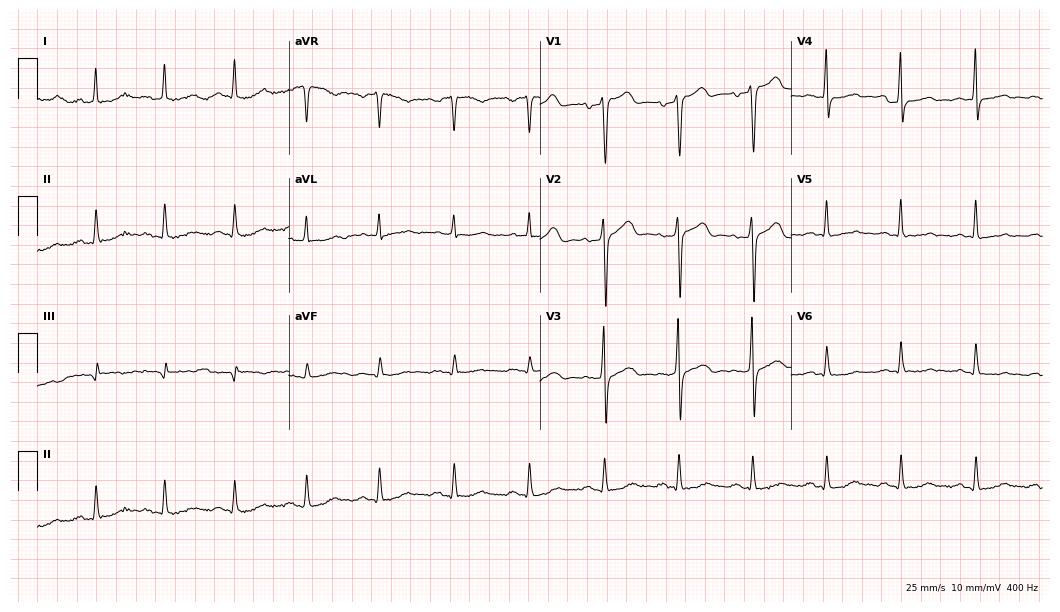
12-lead ECG from a man, 56 years old. Labelled as a normal ECG.